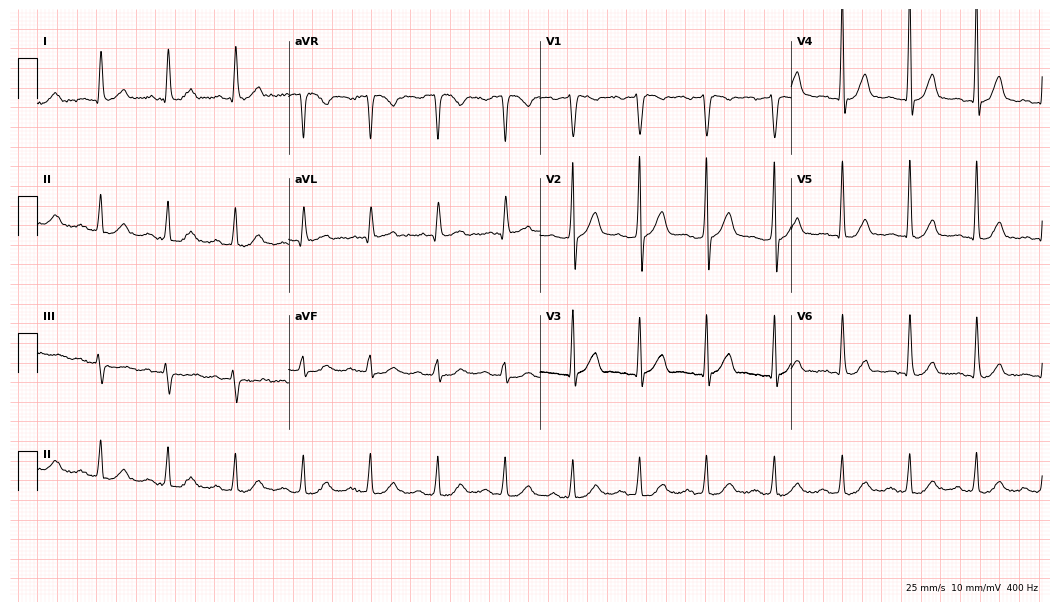
ECG — a female, 66 years old. Labelled as a normal ECG.